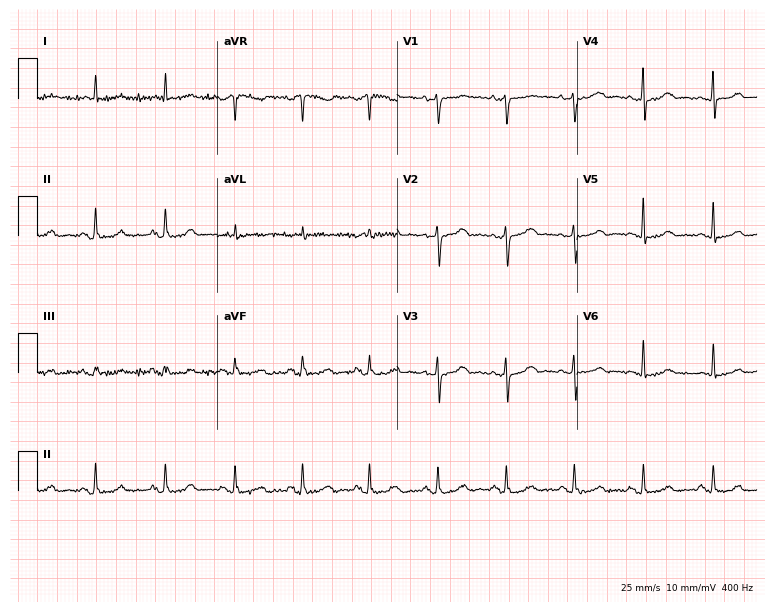
Electrocardiogram (7.3-second recording at 400 Hz), a female patient, 82 years old. Of the six screened findings (first-degree AV block, right bundle branch block (RBBB), left bundle branch block (LBBB), sinus bradycardia, atrial fibrillation (AF), sinus tachycardia), none is recorded.